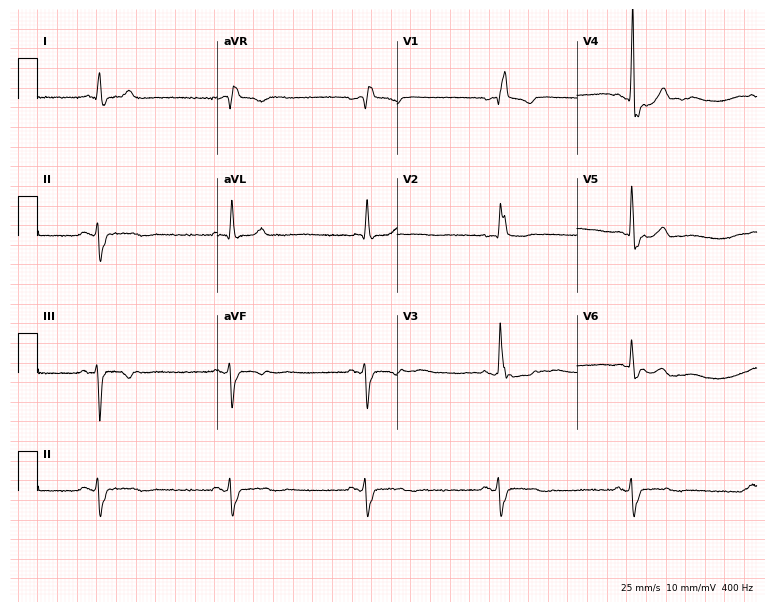
Resting 12-lead electrocardiogram (7.3-second recording at 400 Hz). Patient: a male, 85 years old. The tracing shows right bundle branch block, sinus bradycardia (a sinus rate of 50 beats per minute or less).